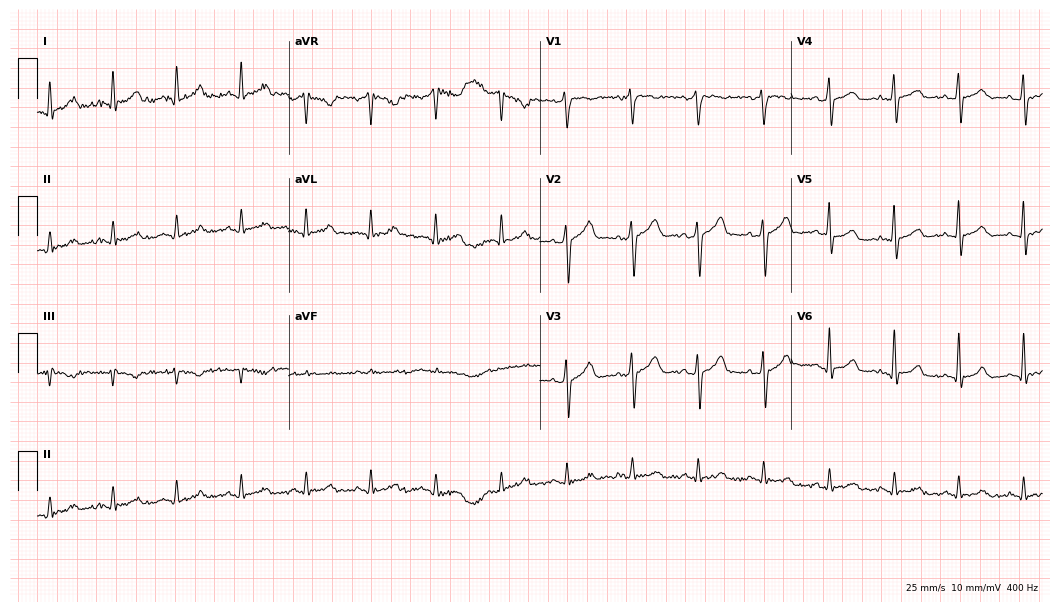
Electrocardiogram, a 49-year-old male patient. Overall reading on record: normal ECG.